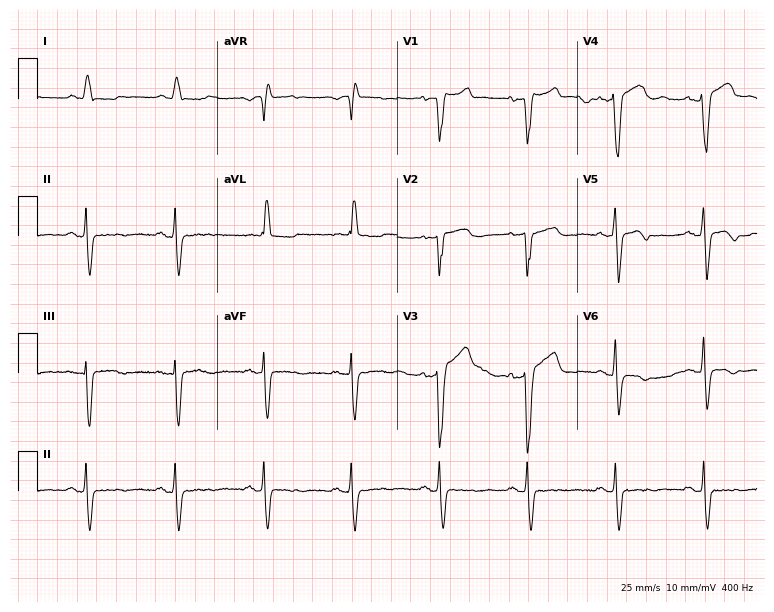
12-lead ECG (7.3-second recording at 400 Hz) from an 82-year-old man. Findings include left bundle branch block.